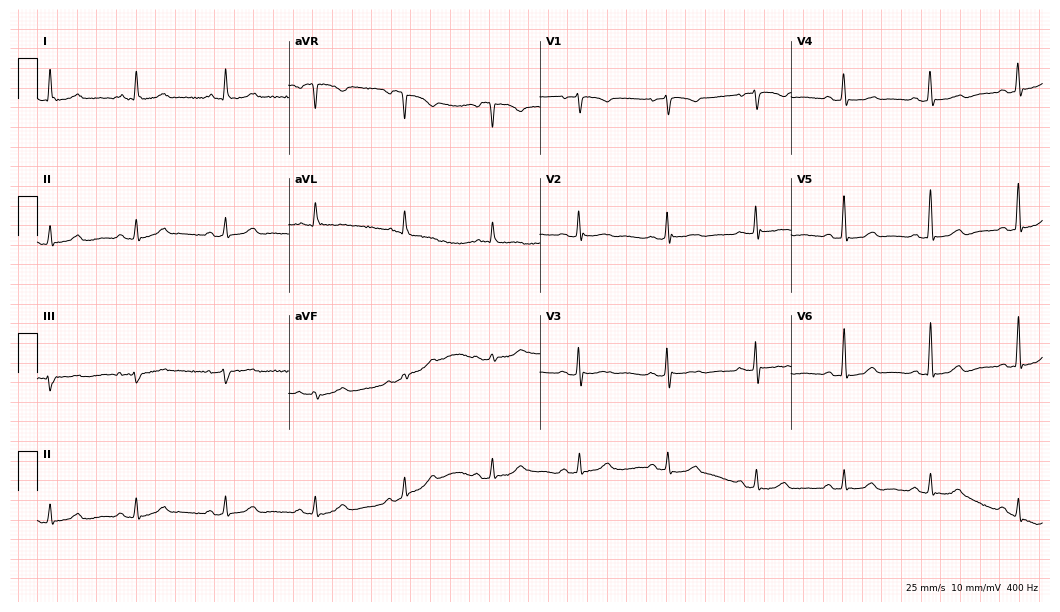
12-lead ECG from a 62-year-old woman. Screened for six findings — first-degree AV block, right bundle branch block (RBBB), left bundle branch block (LBBB), sinus bradycardia, atrial fibrillation (AF), sinus tachycardia — none is recorded.